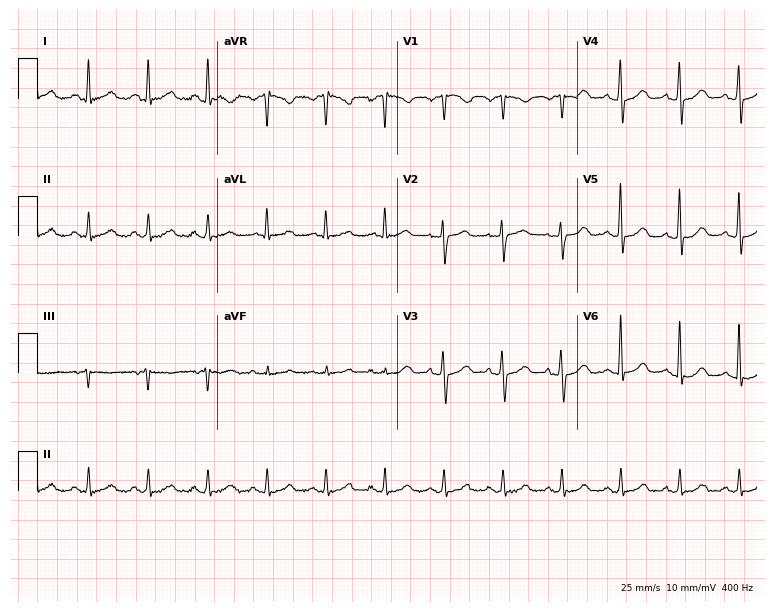
Standard 12-lead ECG recorded from a 59-year-old man (7.3-second recording at 400 Hz). Read as a normal ECG.